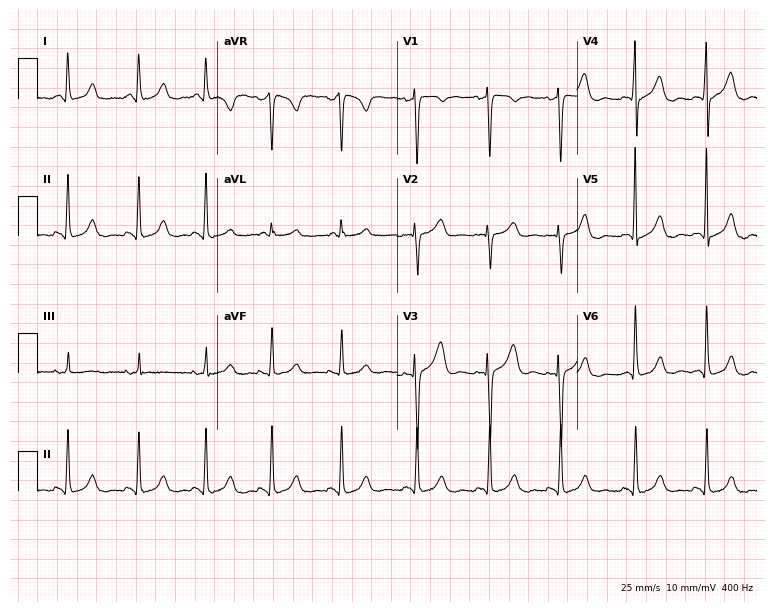
Standard 12-lead ECG recorded from a female, 26 years old (7.3-second recording at 400 Hz). Read as a normal ECG.